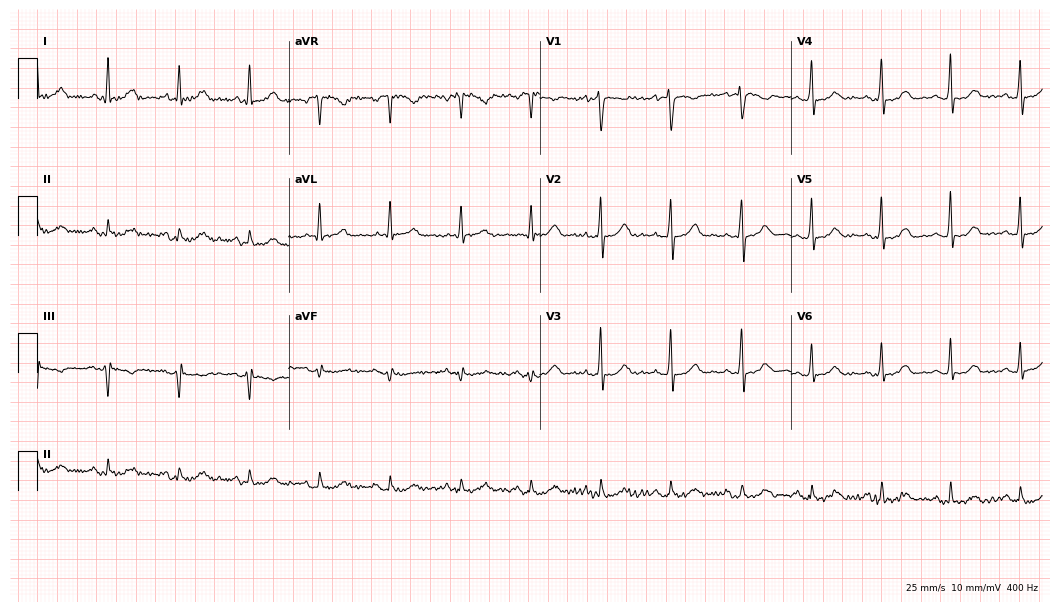
Resting 12-lead electrocardiogram. Patient: a female, 74 years old. None of these six findings is recorded: first-degree AV block, right bundle branch block (RBBB), left bundle branch block (LBBB), sinus bradycardia, atrial fibrillation (AF), sinus tachycardia.